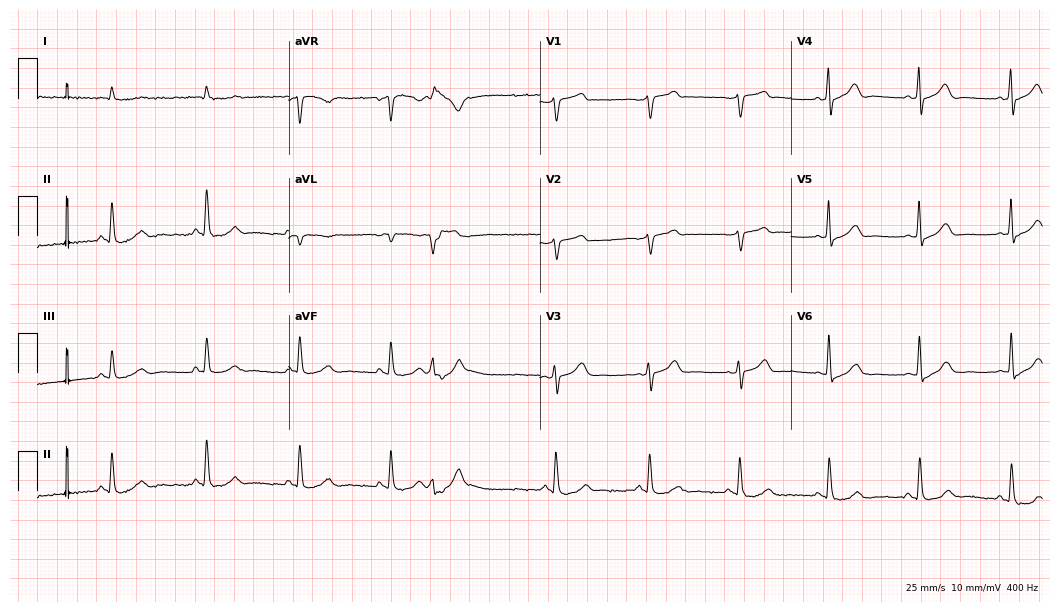
Standard 12-lead ECG recorded from a 77-year-old man (10.2-second recording at 400 Hz). Read as a normal ECG.